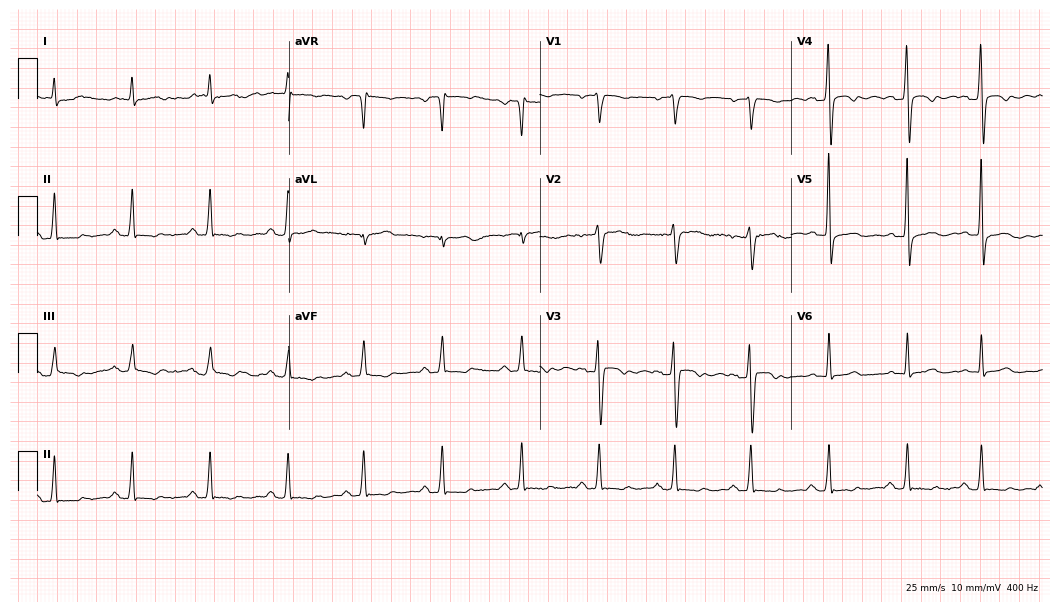
12-lead ECG (10.2-second recording at 400 Hz) from a male, 43 years old. Screened for six findings — first-degree AV block, right bundle branch block, left bundle branch block, sinus bradycardia, atrial fibrillation, sinus tachycardia — none is recorded.